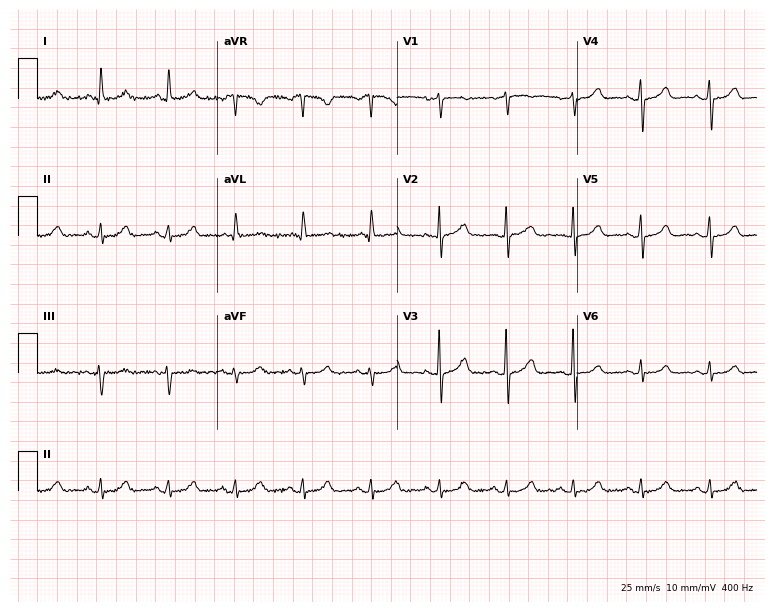
Standard 12-lead ECG recorded from a woman, 67 years old (7.3-second recording at 400 Hz). Read as a normal ECG.